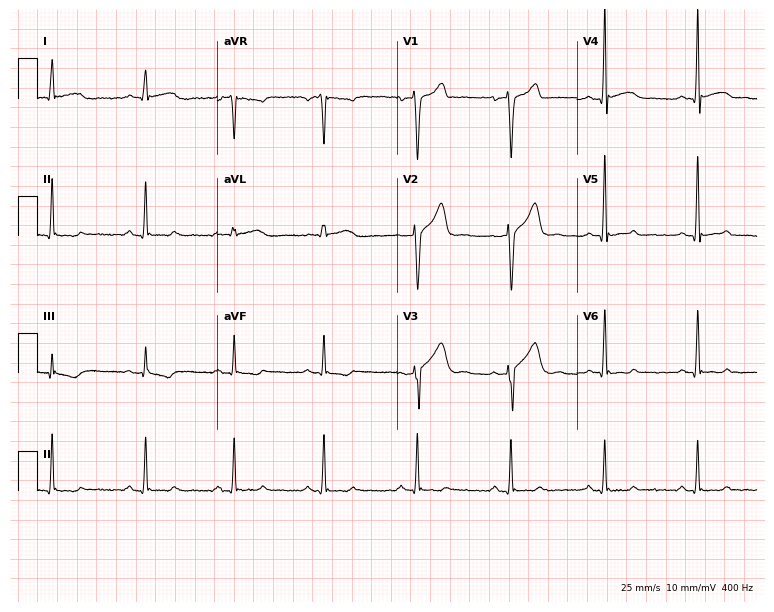
Resting 12-lead electrocardiogram. Patient: a 42-year-old male. None of these six findings is recorded: first-degree AV block, right bundle branch block, left bundle branch block, sinus bradycardia, atrial fibrillation, sinus tachycardia. Only these six findings were labelled.